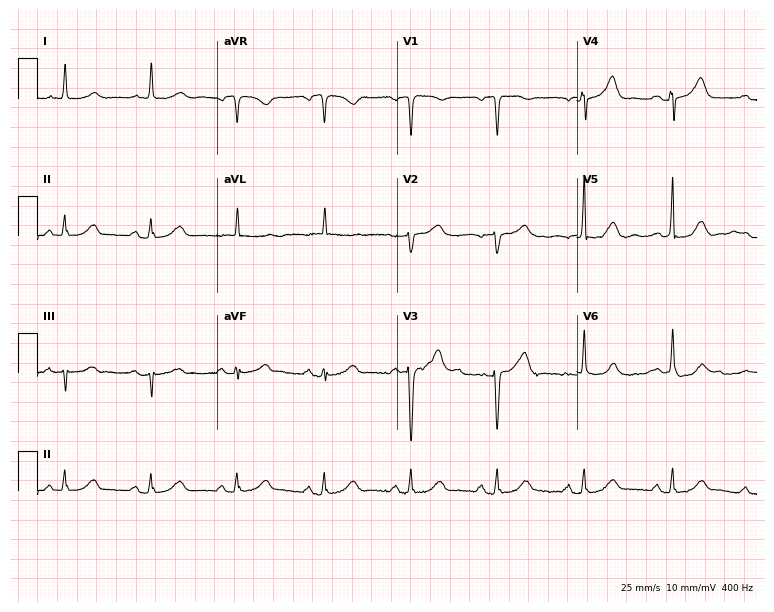
12-lead ECG from an 82-year-old female patient (7.3-second recording at 400 Hz). Recorded interpretation: within normal limits.